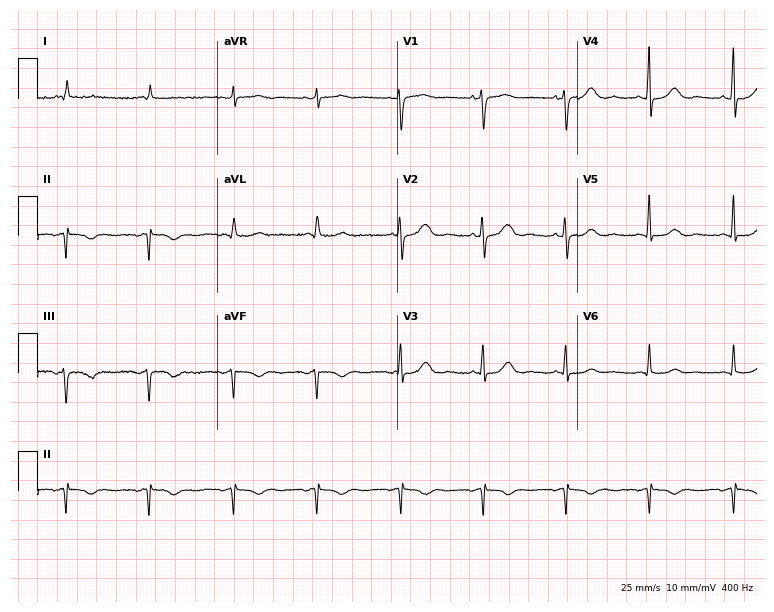
12-lead ECG from a female patient, 81 years old. No first-degree AV block, right bundle branch block (RBBB), left bundle branch block (LBBB), sinus bradycardia, atrial fibrillation (AF) or sinus tachycardia recorded for this tracing.